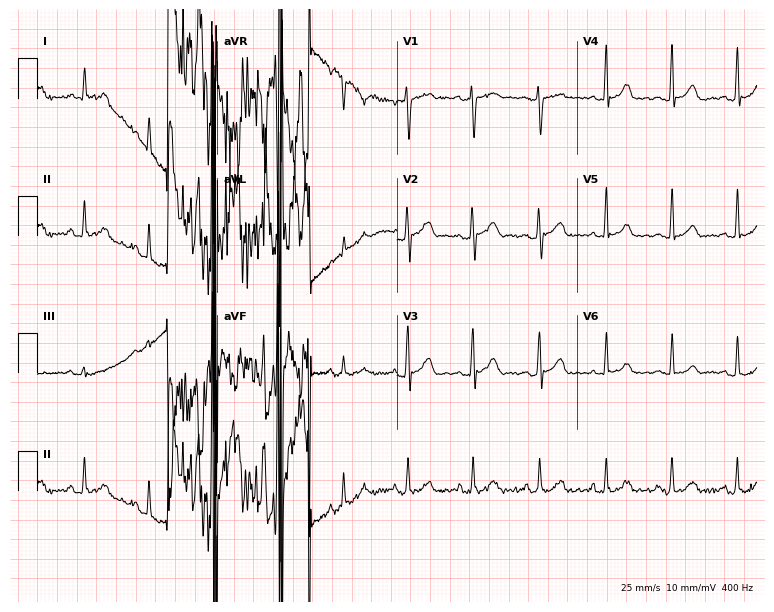
12-lead ECG from a 31-year-old male (7.3-second recording at 400 Hz). No first-degree AV block, right bundle branch block, left bundle branch block, sinus bradycardia, atrial fibrillation or sinus tachycardia recorded for this tracing. Other findings, if any, are not listed.